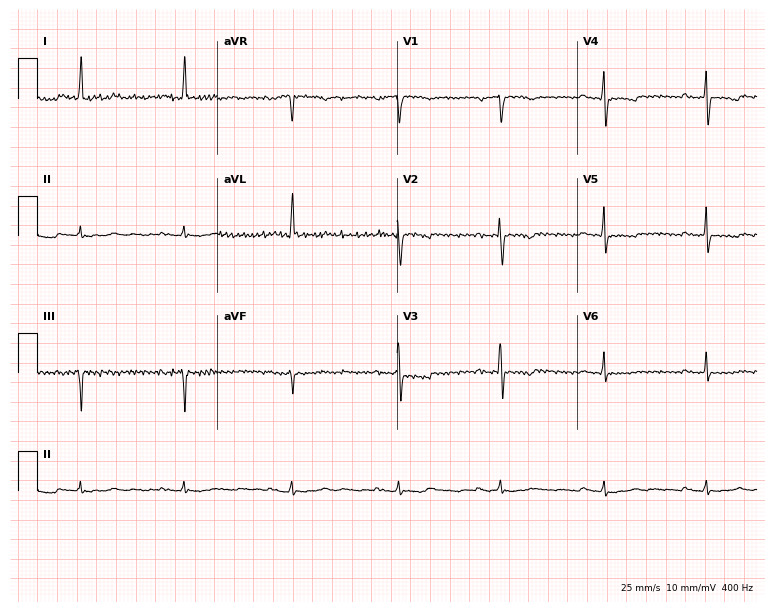
Standard 12-lead ECG recorded from a woman, 80 years old (7.3-second recording at 400 Hz). The tracing shows first-degree AV block.